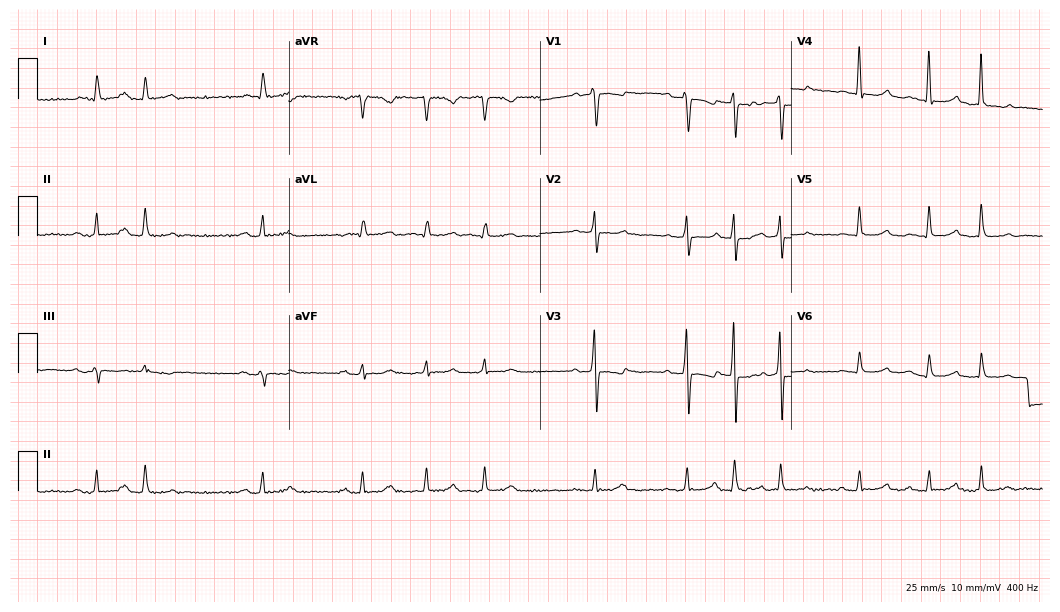
ECG — a female, 78 years old. Screened for six findings — first-degree AV block, right bundle branch block, left bundle branch block, sinus bradycardia, atrial fibrillation, sinus tachycardia — none is recorded. Only these six findings were labelled.